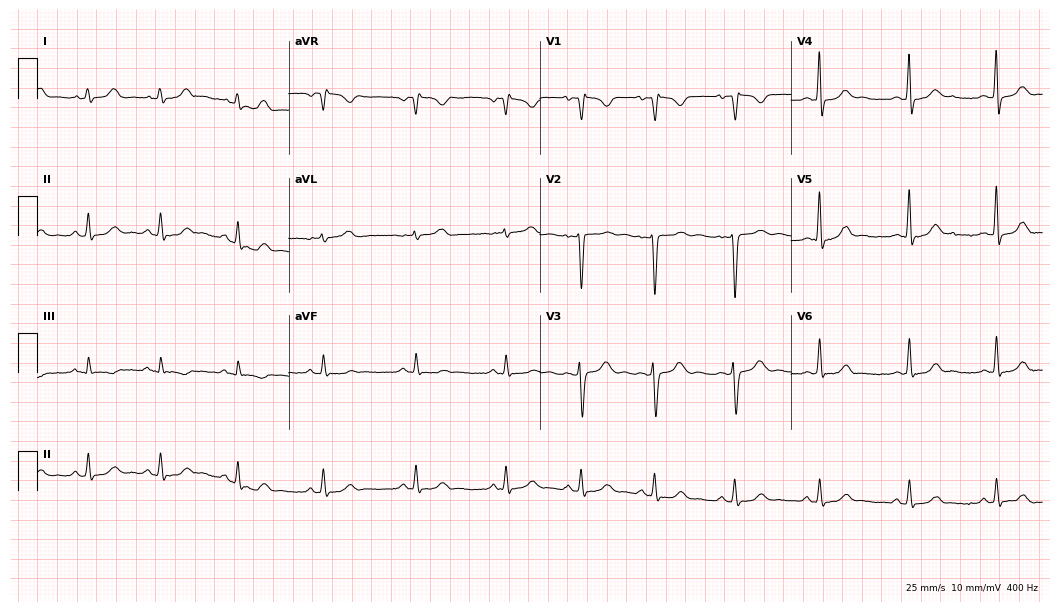
ECG (10.2-second recording at 400 Hz) — a female, 28 years old. Labelled as a normal ECG.